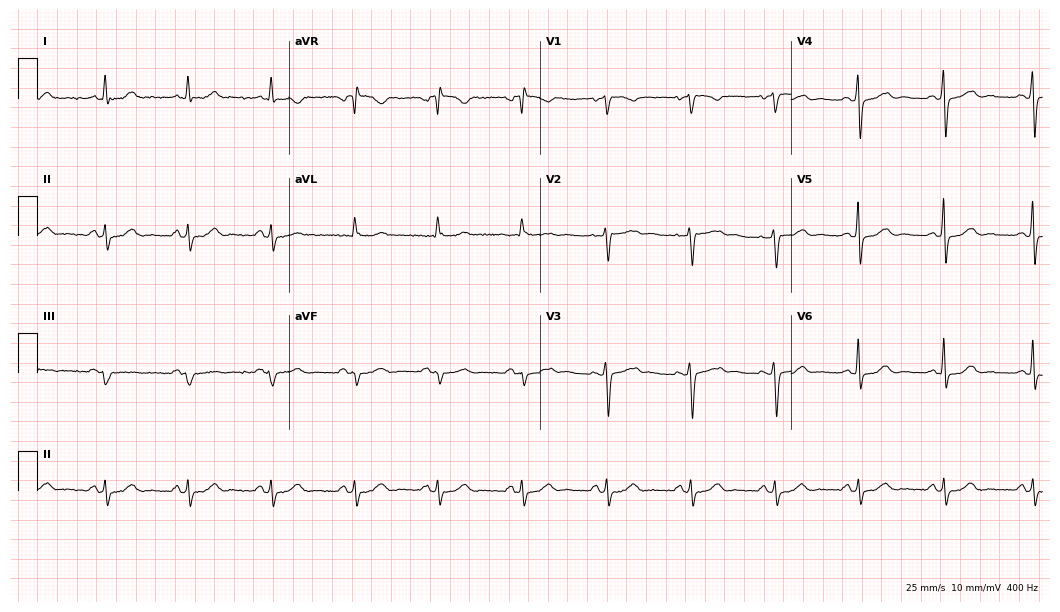
Electrocardiogram (10.2-second recording at 400 Hz), a 48-year-old woman. Of the six screened findings (first-degree AV block, right bundle branch block, left bundle branch block, sinus bradycardia, atrial fibrillation, sinus tachycardia), none is recorded.